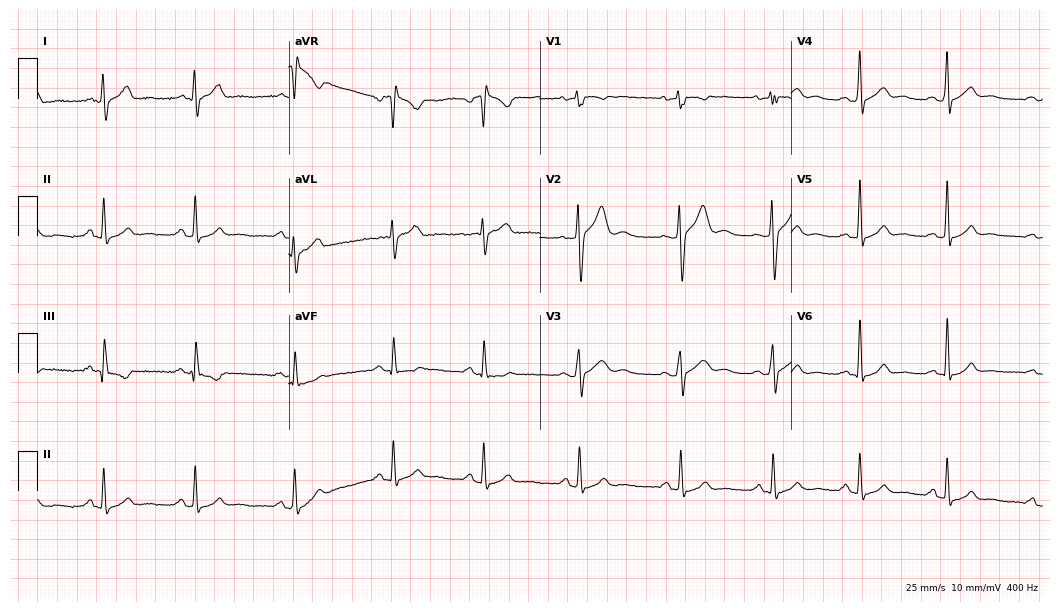
12-lead ECG from a male patient, 23 years old. Screened for six findings — first-degree AV block, right bundle branch block, left bundle branch block, sinus bradycardia, atrial fibrillation, sinus tachycardia — none is recorded.